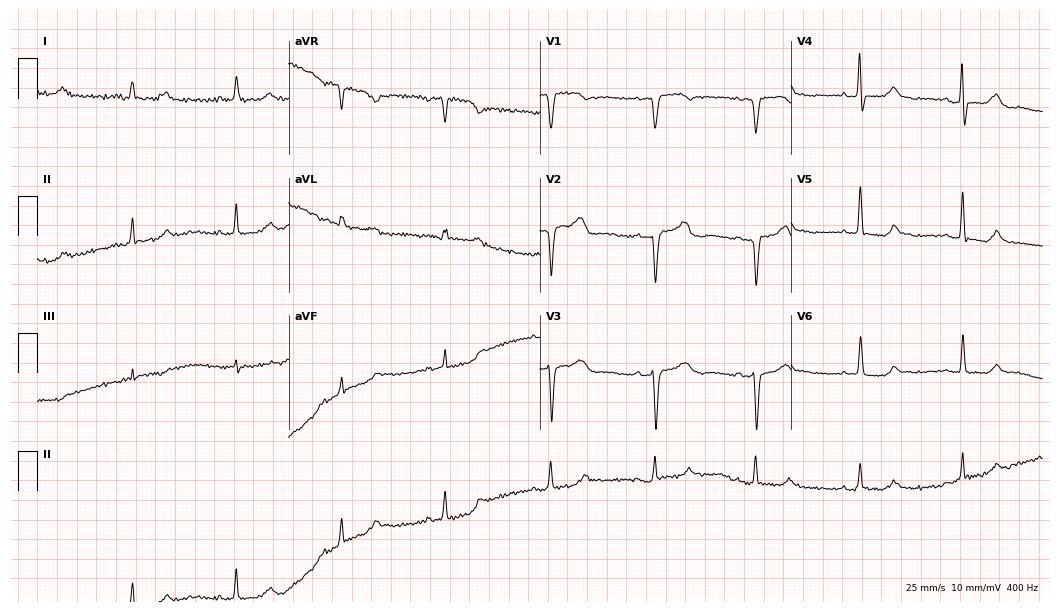
Standard 12-lead ECG recorded from a female, 62 years old (10.2-second recording at 400 Hz). None of these six findings is recorded: first-degree AV block, right bundle branch block (RBBB), left bundle branch block (LBBB), sinus bradycardia, atrial fibrillation (AF), sinus tachycardia. Findings outside these six are not listed.